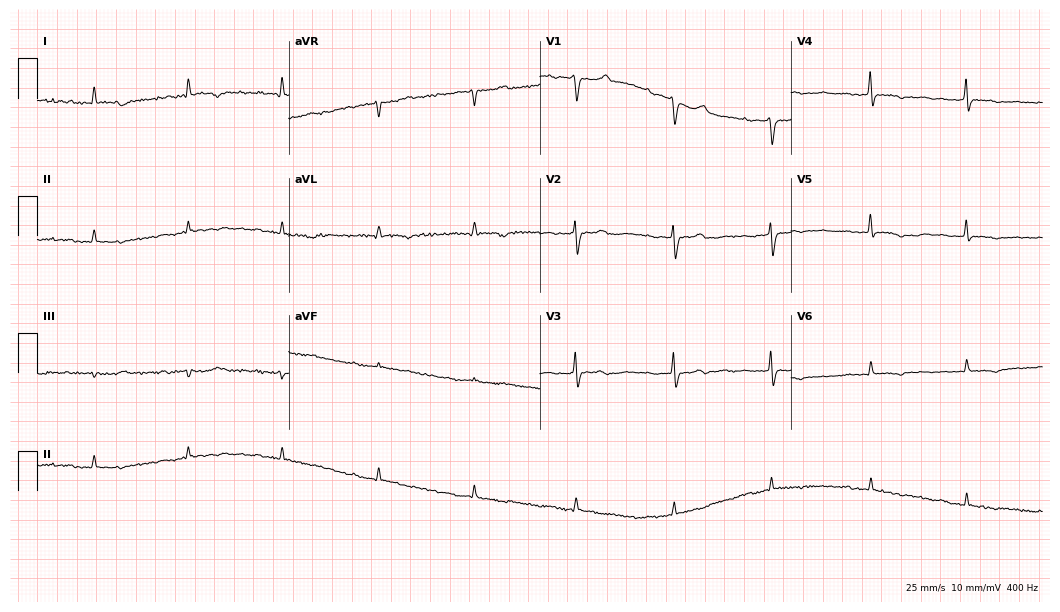
Standard 12-lead ECG recorded from a female, 72 years old (10.2-second recording at 400 Hz). None of these six findings is recorded: first-degree AV block, right bundle branch block, left bundle branch block, sinus bradycardia, atrial fibrillation, sinus tachycardia. Other findings, if any, are not listed.